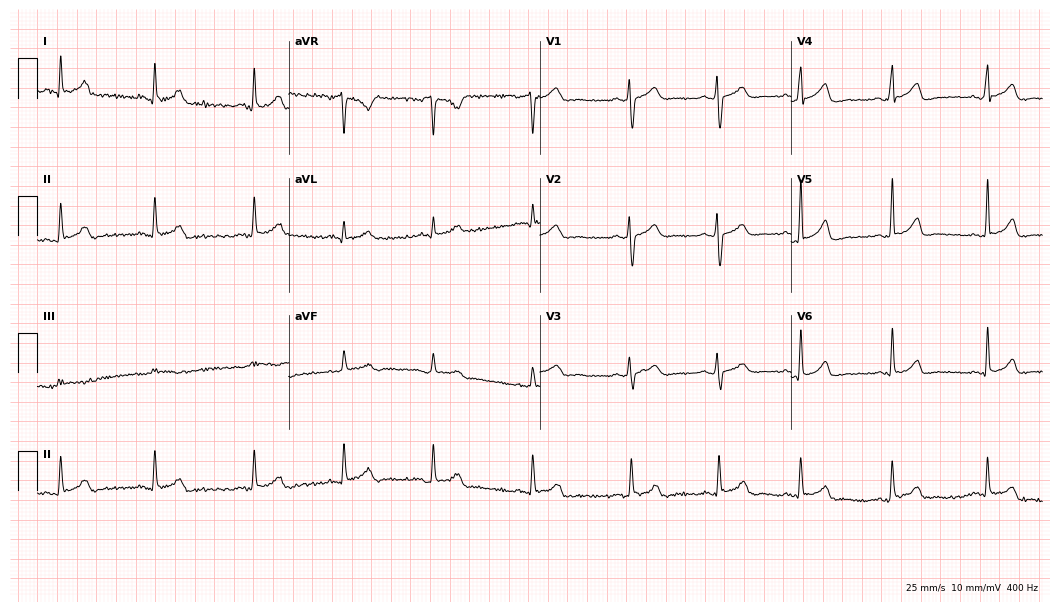
12-lead ECG from a 31-year-old female patient (10.2-second recording at 400 Hz). No first-degree AV block, right bundle branch block, left bundle branch block, sinus bradycardia, atrial fibrillation or sinus tachycardia recorded for this tracing.